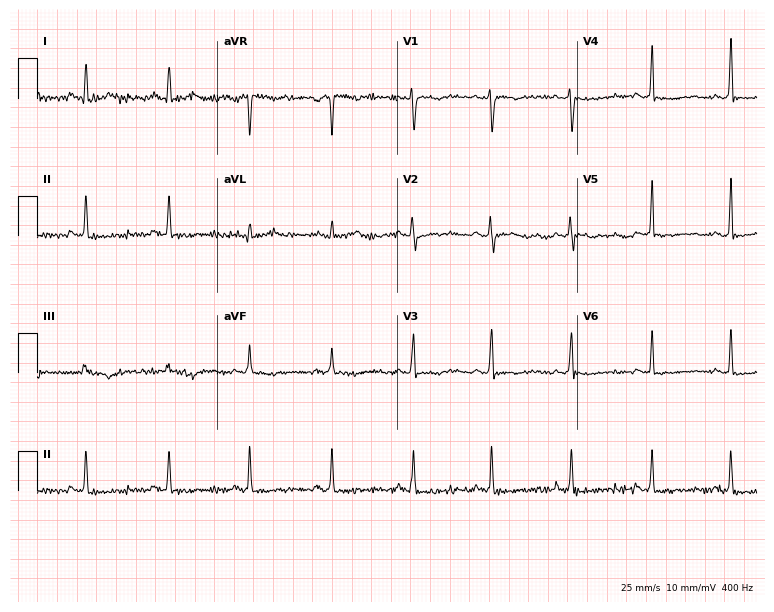
Electrocardiogram (7.3-second recording at 400 Hz), a 23-year-old female. Of the six screened findings (first-degree AV block, right bundle branch block, left bundle branch block, sinus bradycardia, atrial fibrillation, sinus tachycardia), none is recorded.